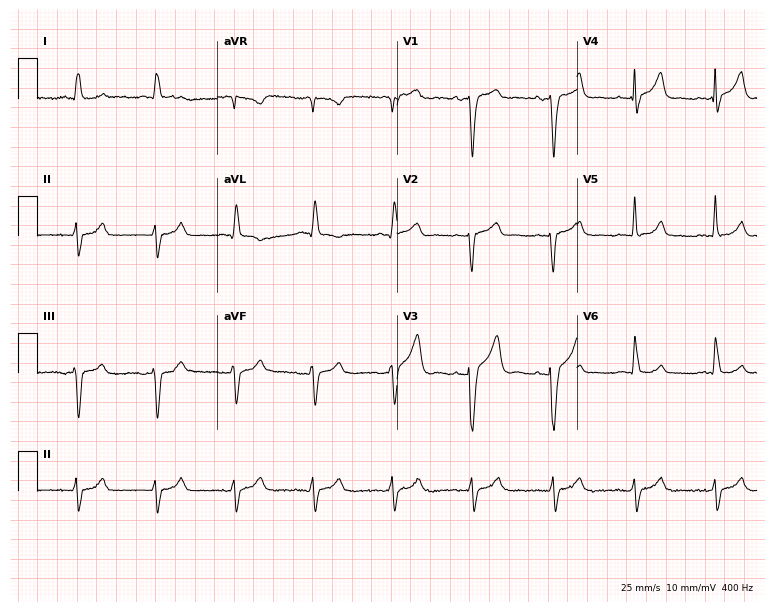
12-lead ECG from a 79-year-old male patient. No first-degree AV block, right bundle branch block (RBBB), left bundle branch block (LBBB), sinus bradycardia, atrial fibrillation (AF) or sinus tachycardia recorded for this tracing. Findings outside these six are not listed.